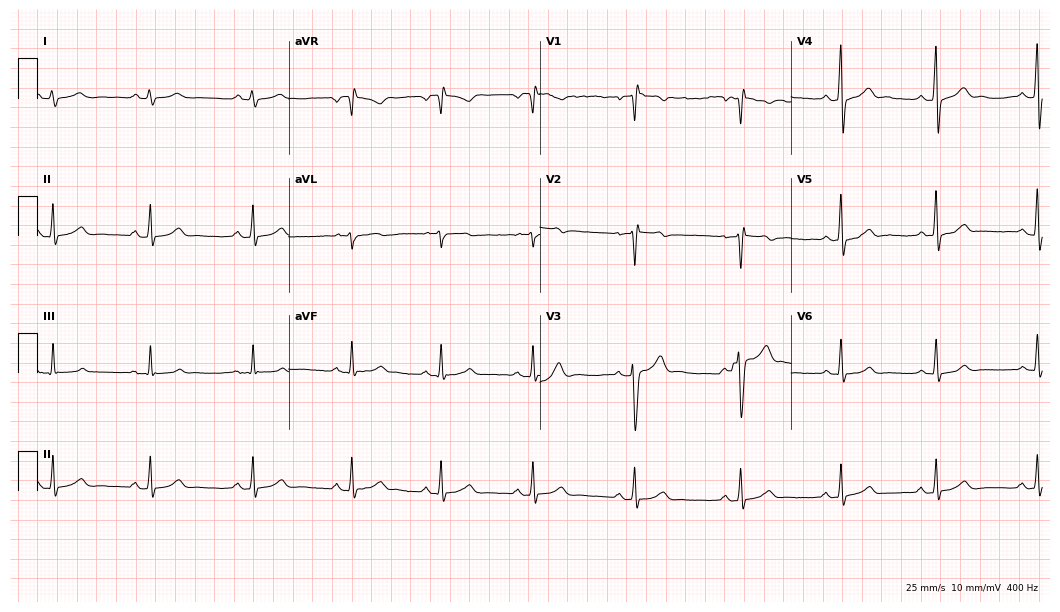
Resting 12-lead electrocardiogram. Patient: a 25-year-old man. Read as a normal ECG.